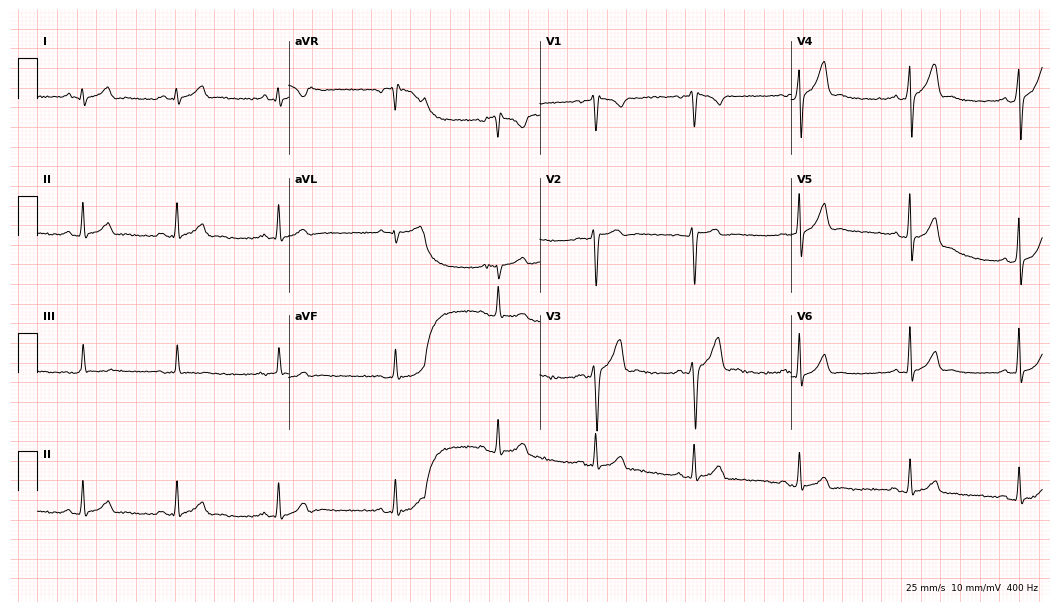
Standard 12-lead ECG recorded from a 25-year-old male (10.2-second recording at 400 Hz). Read as a normal ECG.